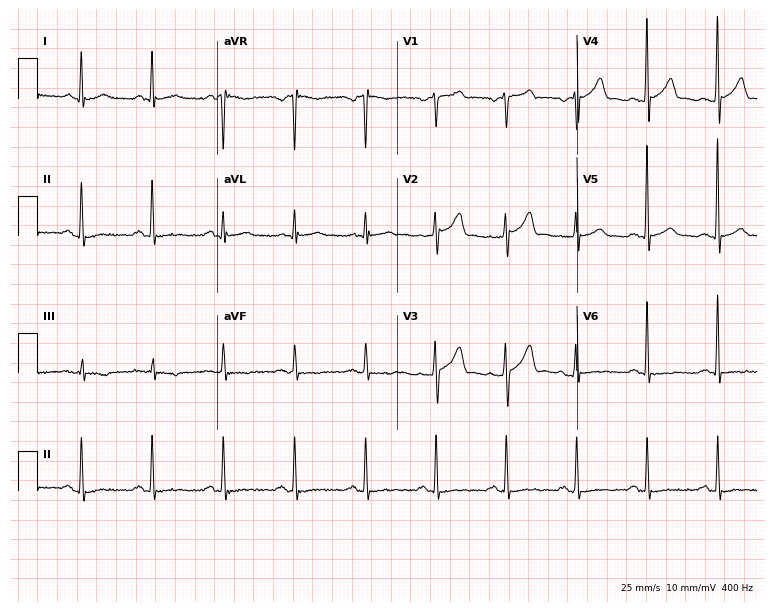
12-lead ECG from a male, 56 years old. No first-degree AV block, right bundle branch block (RBBB), left bundle branch block (LBBB), sinus bradycardia, atrial fibrillation (AF) or sinus tachycardia recorded for this tracing. Only these six findings were labelled.